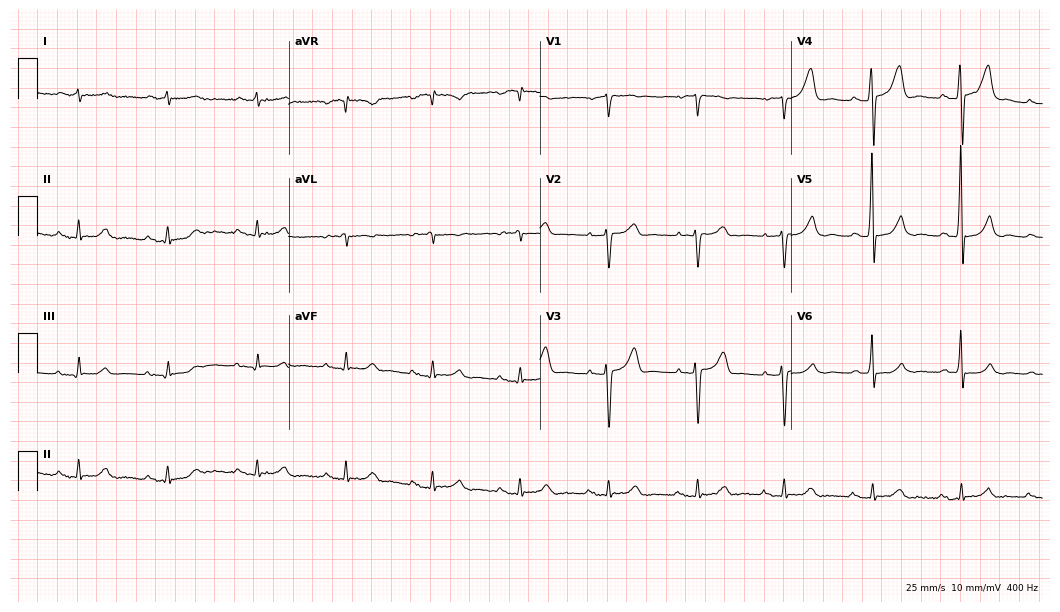
12-lead ECG from a 68-year-old male patient (10.2-second recording at 400 Hz). Recorded interpretation: within normal limits.